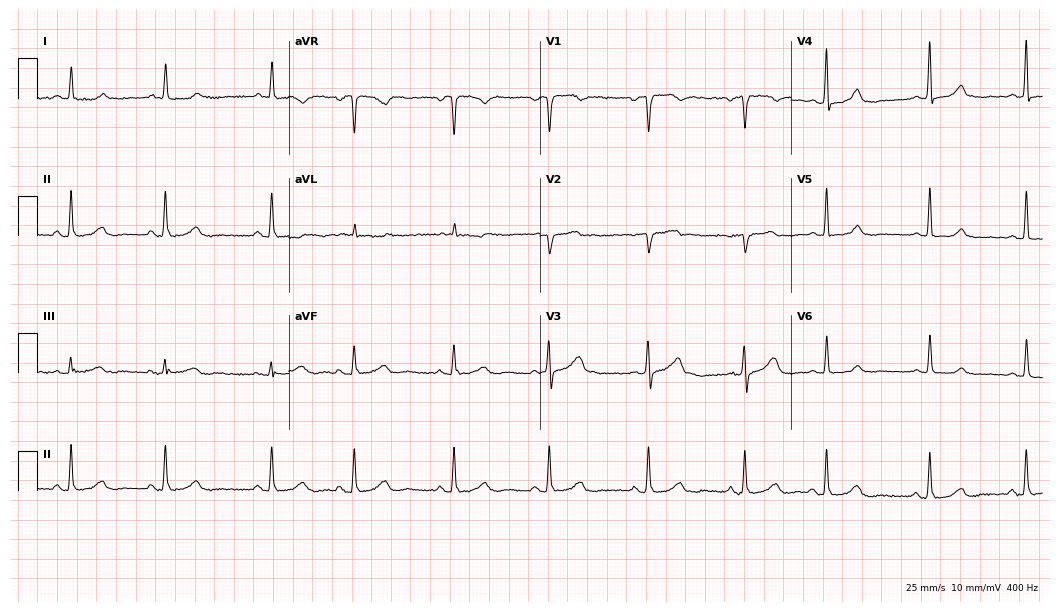
ECG — a 61-year-old woman. Labelled as a normal ECG.